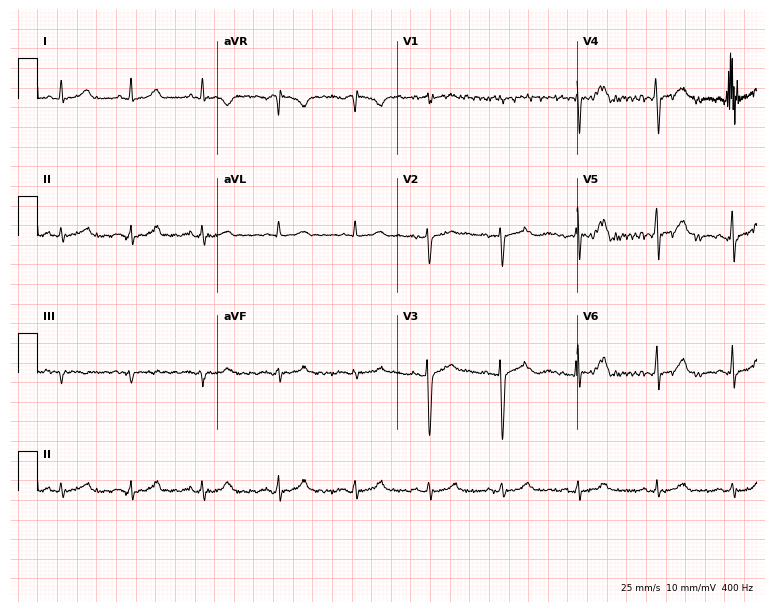
ECG — a woman, 22 years old. Labelled as a normal ECG.